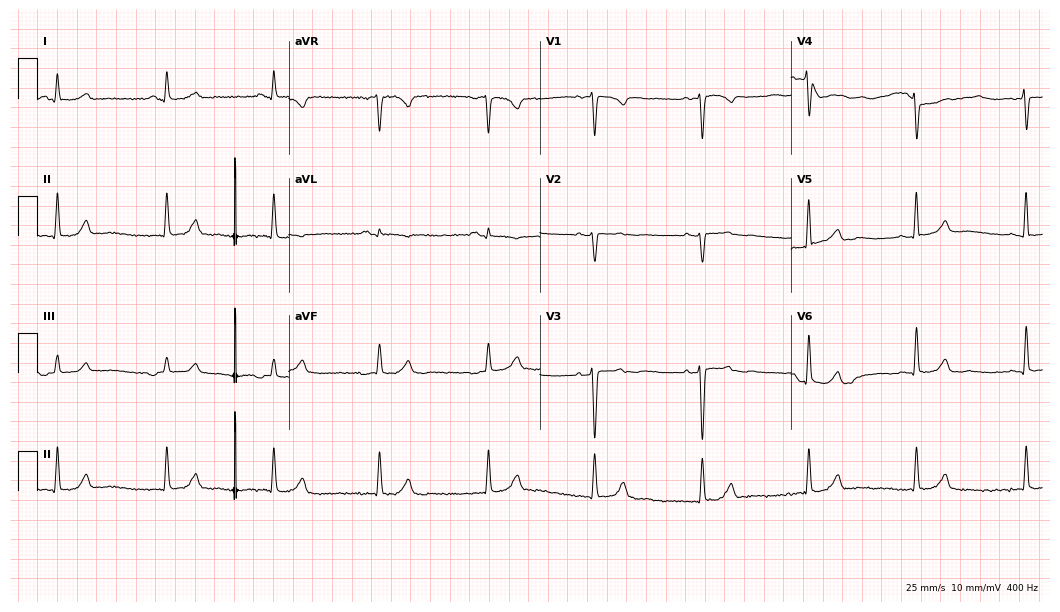
ECG (10.2-second recording at 400 Hz) — a female patient, 43 years old. Labelled as a normal ECG.